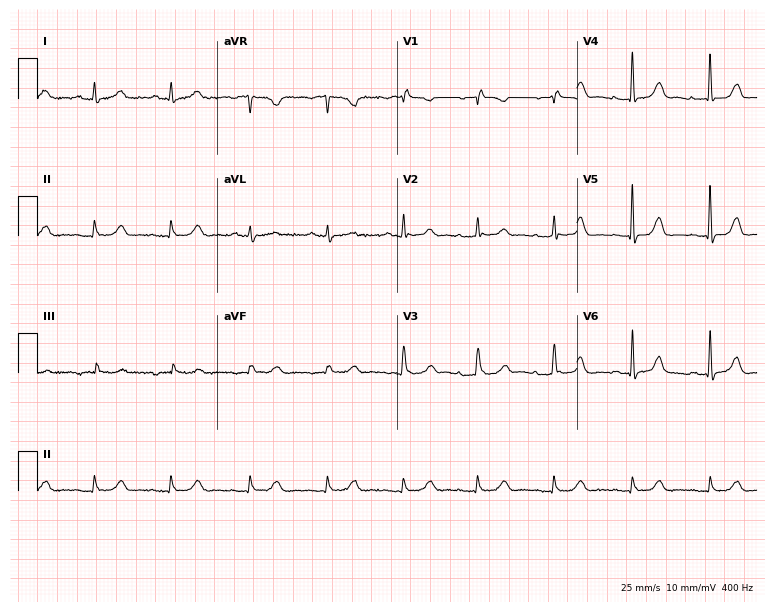
12-lead ECG from a man, 84 years old (7.3-second recording at 400 Hz). No first-degree AV block, right bundle branch block, left bundle branch block, sinus bradycardia, atrial fibrillation or sinus tachycardia recorded for this tracing.